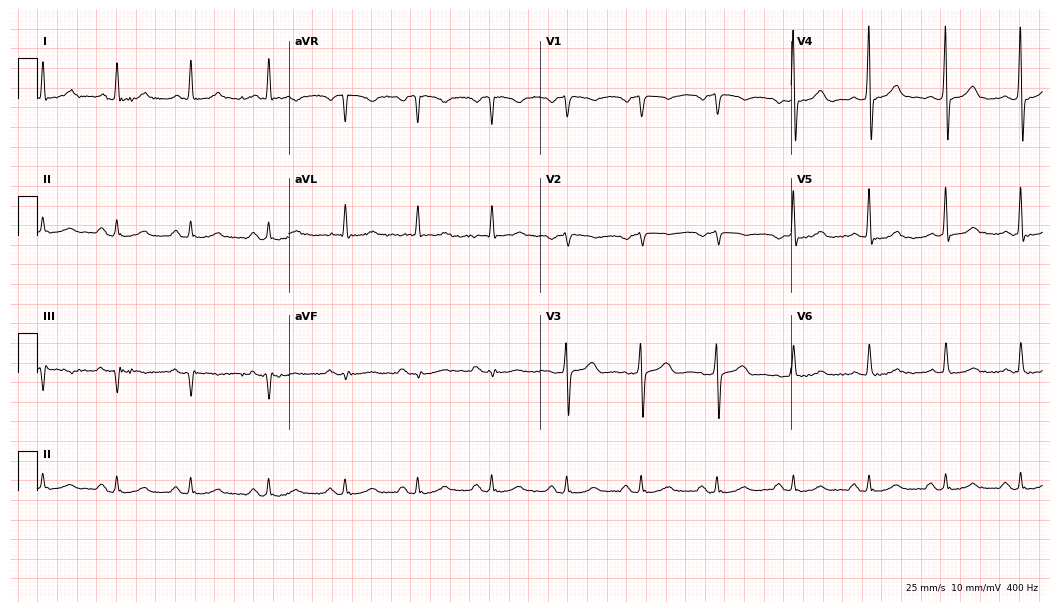
Standard 12-lead ECG recorded from a male, 61 years old (10.2-second recording at 400 Hz). Read as a normal ECG.